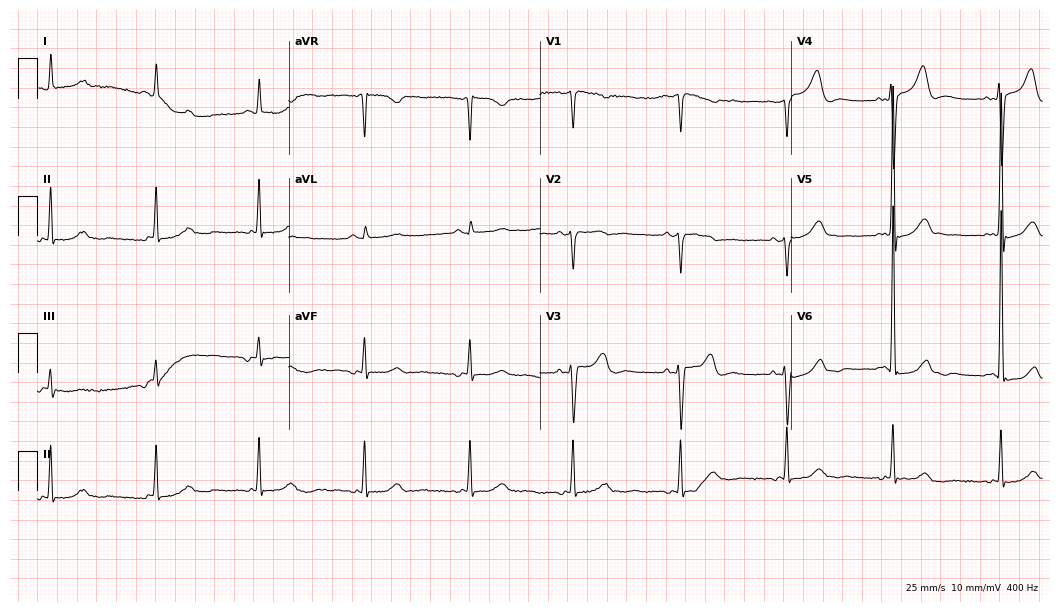
ECG — a 39-year-old female patient. Screened for six findings — first-degree AV block, right bundle branch block, left bundle branch block, sinus bradycardia, atrial fibrillation, sinus tachycardia — none is recorded.